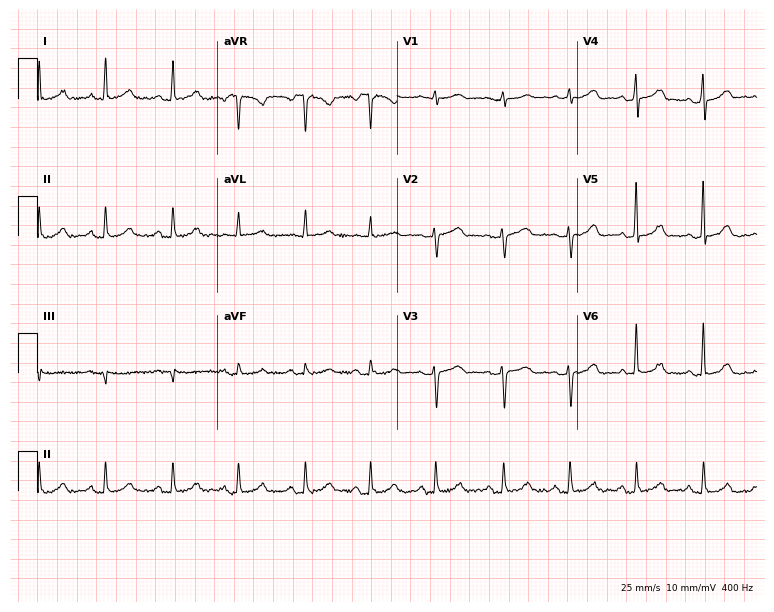
12-lead ECG from a female, 41 years old (7.3-second recording at 400 Hz). Recorded interpretation: within normal limits.